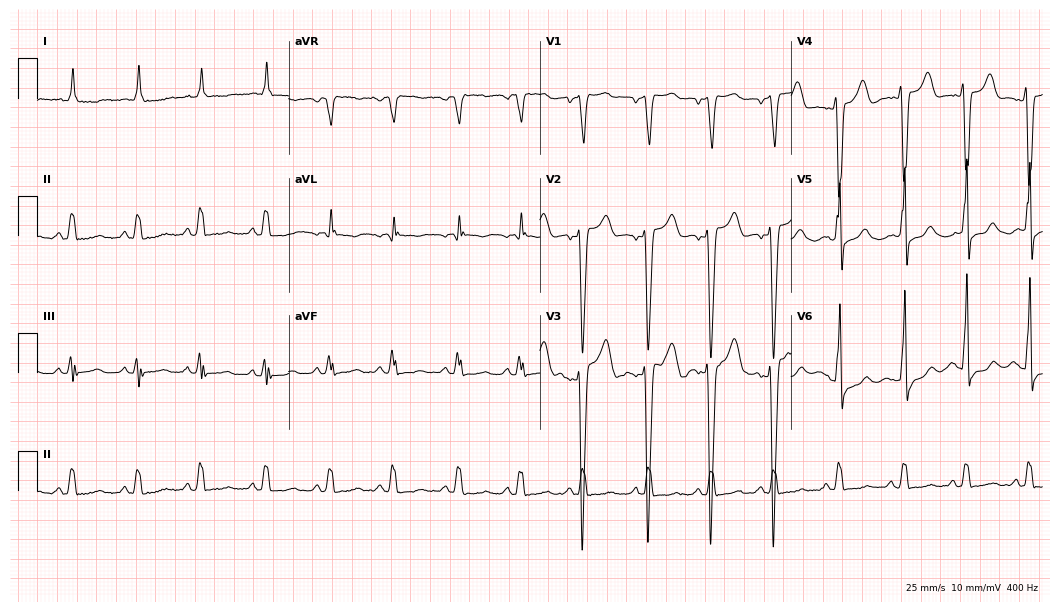
Resting 12-lead electrocardiogram. Patient: a 56-year-old woman. None of these six findings is recorded: first-degree AV block, right bundle branch block, left bundle branch block, sinus bradycardia, atrial fibrillation, sinus tachycardia.